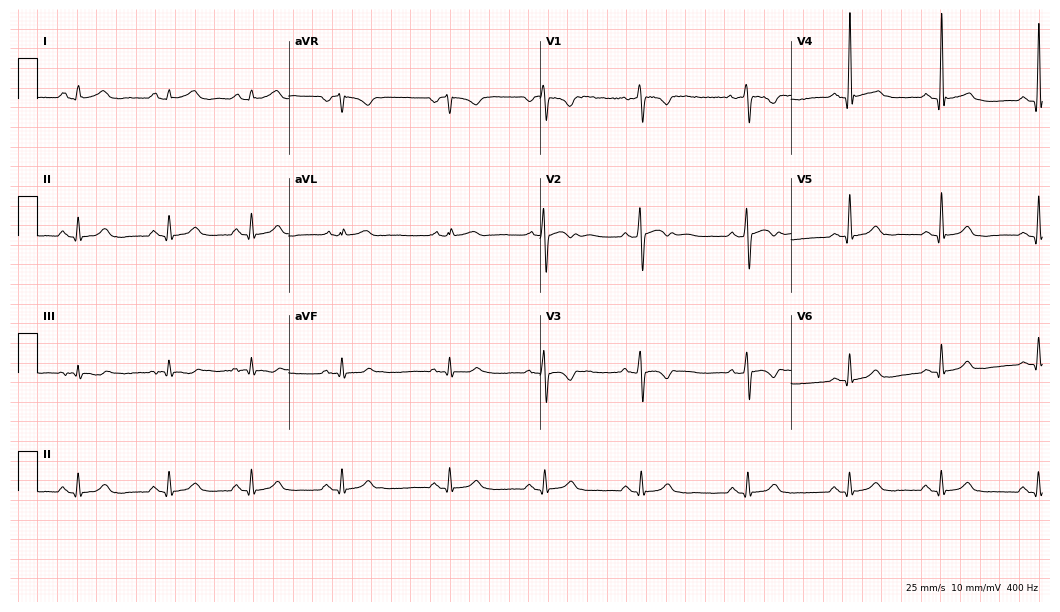
12-lead ECG (10.2-second recording at 400 Hz) from a 21-year-old male patient. Screened for six findings — first-degree AV block, right bundle branch block, left bundle branch block, sinus bradycardia, atrial fibrillation, sinus tachycardia — none is recorded. Only these six findings were labelled.